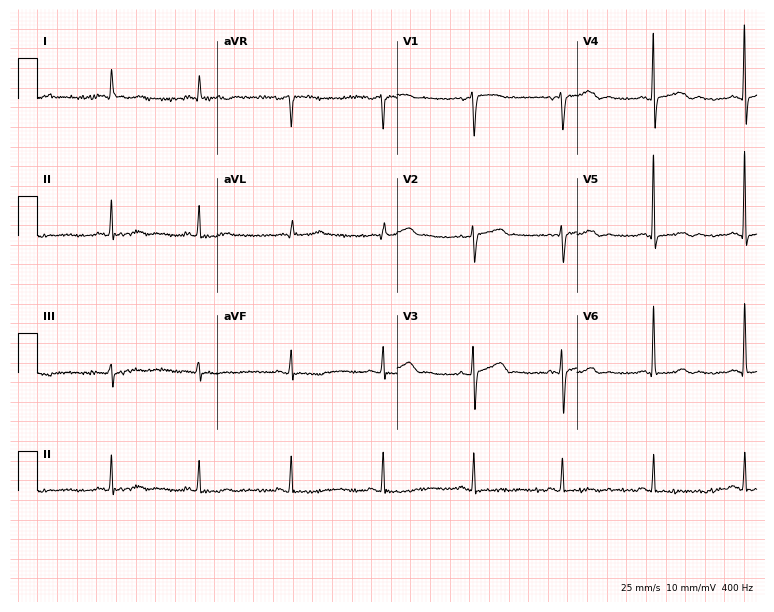
ECG — a male patient, 68 years old. Labelled as a normal ECG.